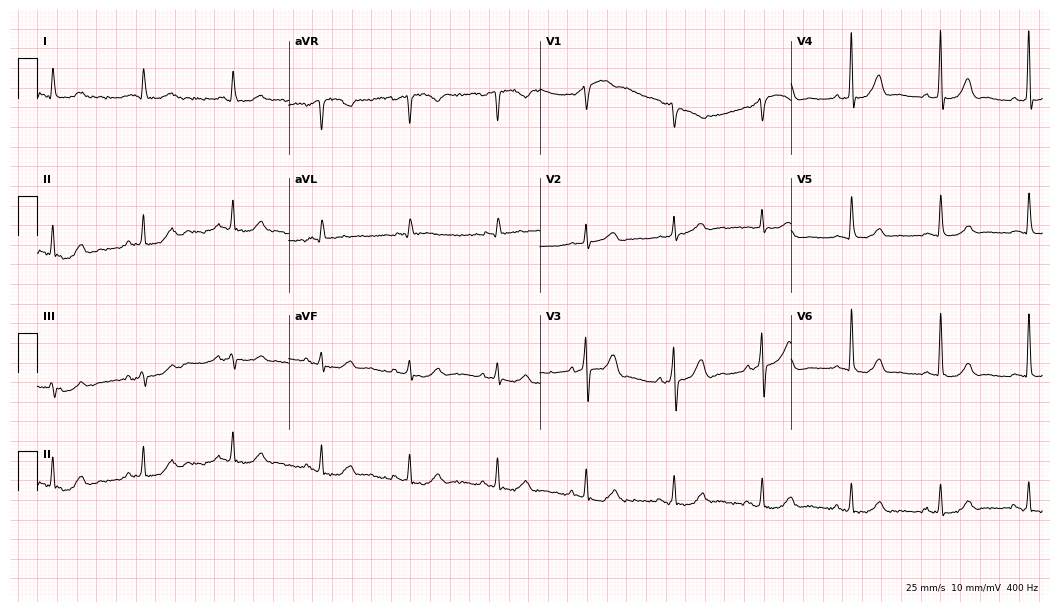
12-lead ECG from a male patient, 82 years old (10.2-second recording at 400 Hz). No first-degree AV block, right bundle branch block (RBBB), left bundle branch block (LBBB), sinus bradycardia, atrial fibrillation (AF) or sinus tachycardia recorded for this tracing. Other findings, if any, are not listed.